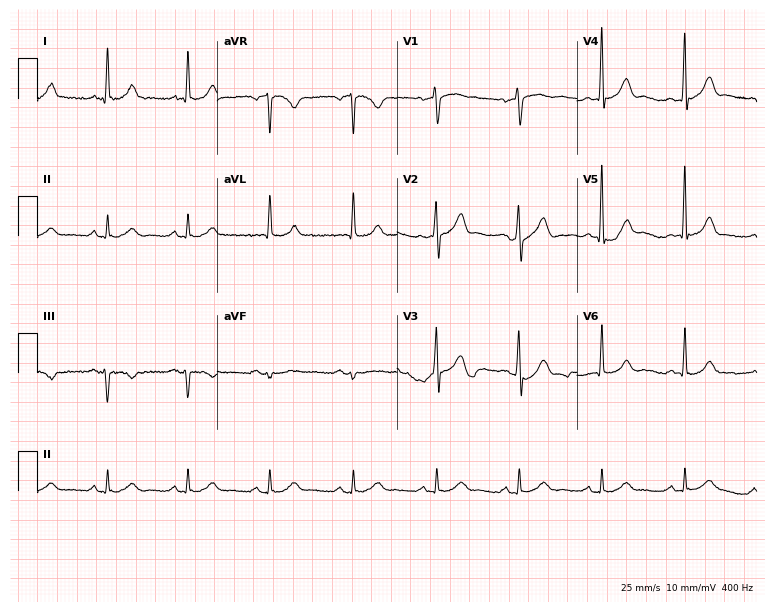
ECG — a male patient, 71 years old. Labelled as a normal ECG.